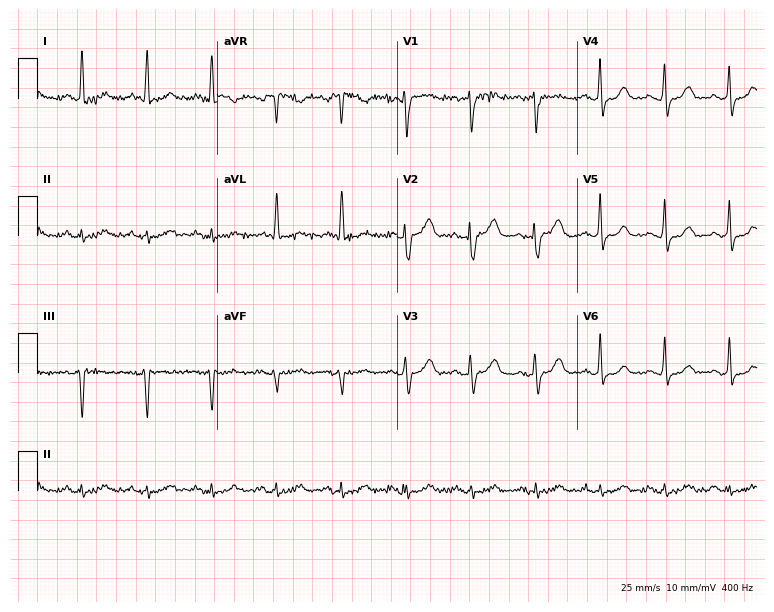
Electrocardiogram (7.3-second recording at 400 Hz), a 75-year-old man. Overall reading on record: normal ECG.